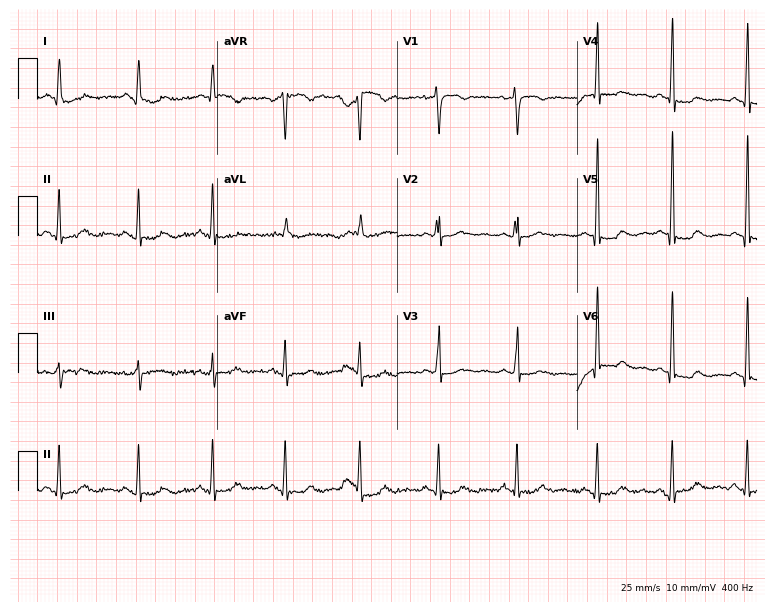
Resting 12-lead electrocardiogram. Patient: a 68-year-old female. None of these six findings is recorded: first-degree AV block, right bundle branch block (RBBB), left bundle branch block (LBBB), sinus bradycardia, atrial fibrillation (AF), sinus tachycardia.